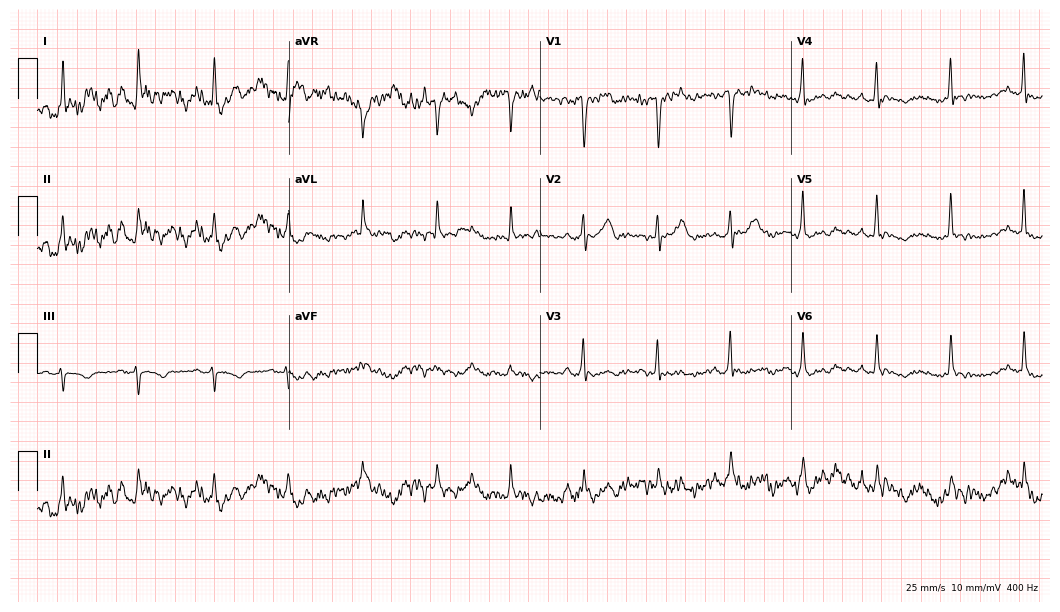
Standard 12-lead ECG recorded from a 53-year-old female patient (10.2-second recording at 400 Hz). None of these six findings is recorded: first-degree AV block, right bundle branch block (RBBB), left bundle branch block (LBBB), sinus bradycardia, atrial fibrillation (AF), sinus tachycardia. Only these six findings were labelled.